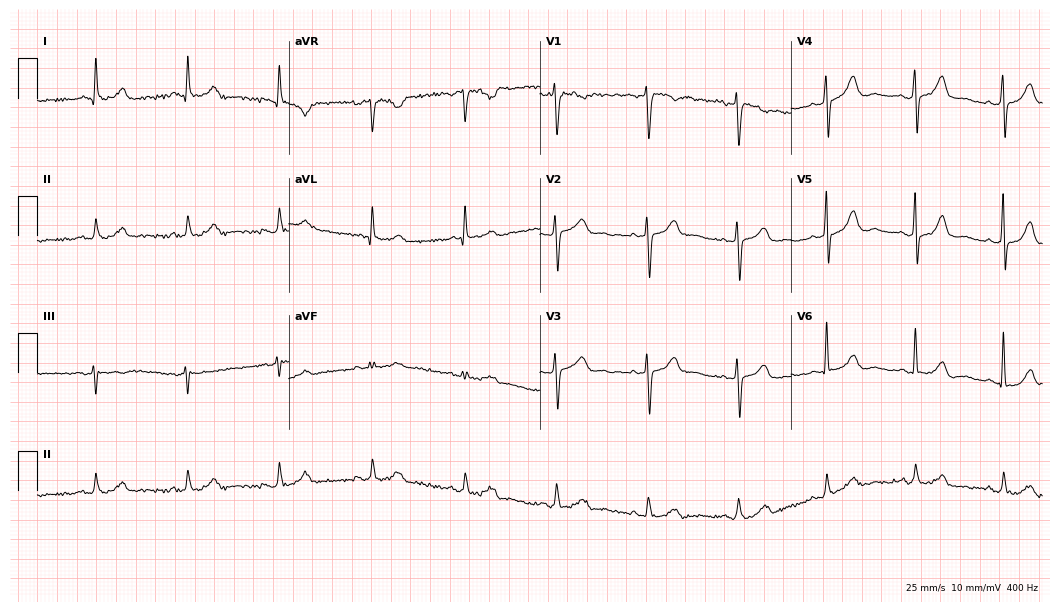
Resting 12-lead electrocardiogram (10.2-second recording at 400 Hz). Patient: a man, 65 years old. Read as a normal ECG.